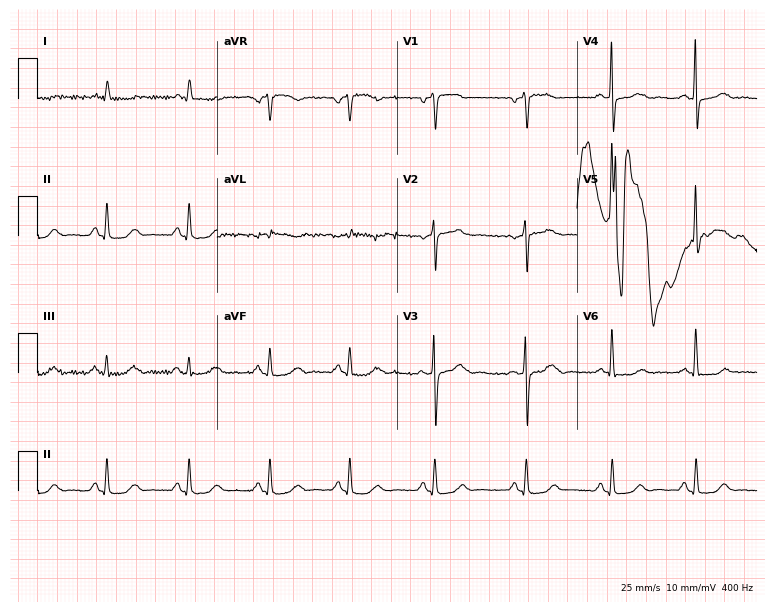
ECG (7.3-second recording at 400 Hz) — a 62-year-old woman. Screened for six findings — first-degree AV block, right bundle branch block (RBBB), left bundle branch block (LBBB), sinus bradycardia, atrial fibrillation (AF), sinus tachycardia — none is recorded. Only these six findings were labelled.